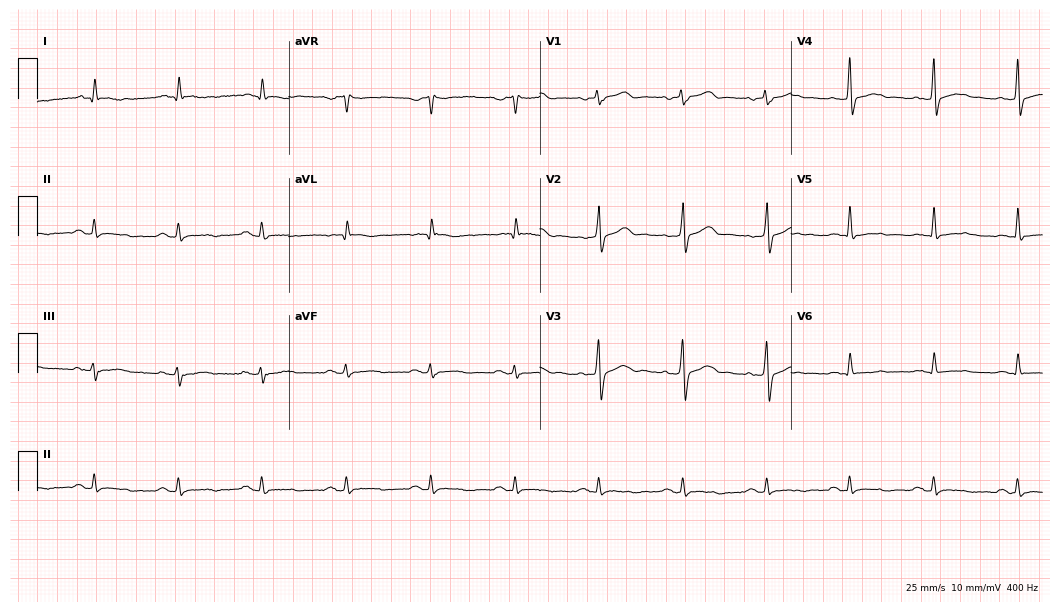
Resting 12-lead electrocardiogram. Patient: a male, 70 years old. None of these six findings is recorded: first-degree AV block, right bundle branch block, left bundle branch block, sinus bradycardia, atrial fibrillation, sinus tachycardia. Other findings, if any, are not listed.